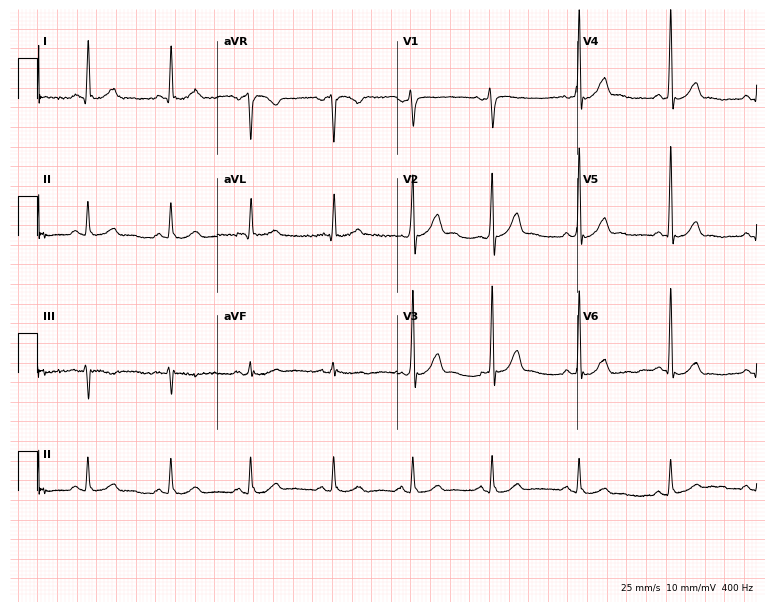
Electrocardiogram (7.3-second recording at 400 Hz), a male patient, 66 years old. Of the six screened findings (first-degree AV block, right bundle branch block, left bundle branch block, sinus bradycardia, atrial fibrillation, sinus tachycardia), none is recorded. Findings outside these six are not listed.